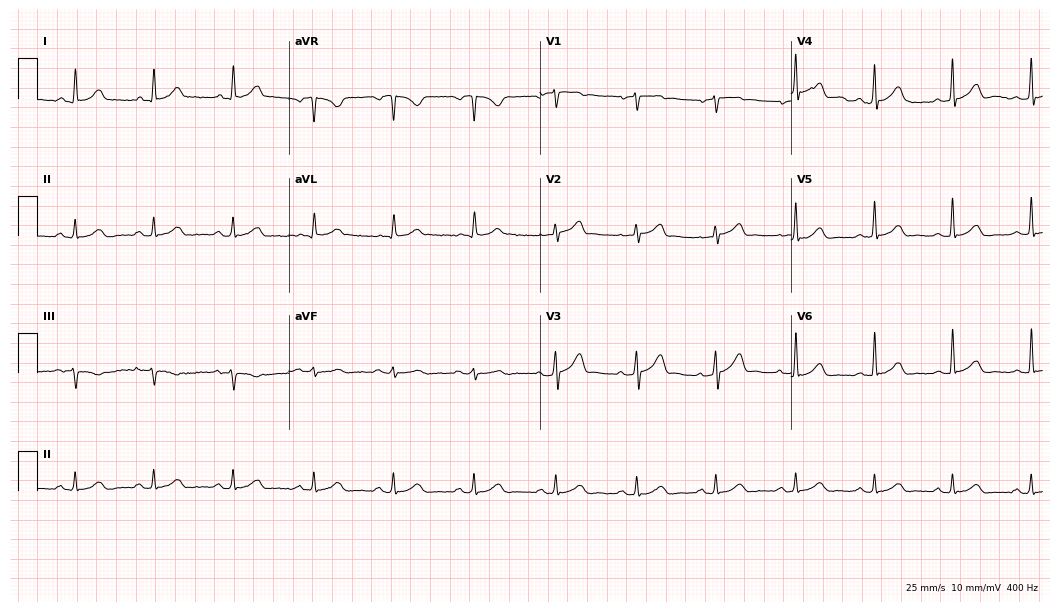
Standard 12-lead ECG recorded from a 64-year-old male. Read as a normal ECG.